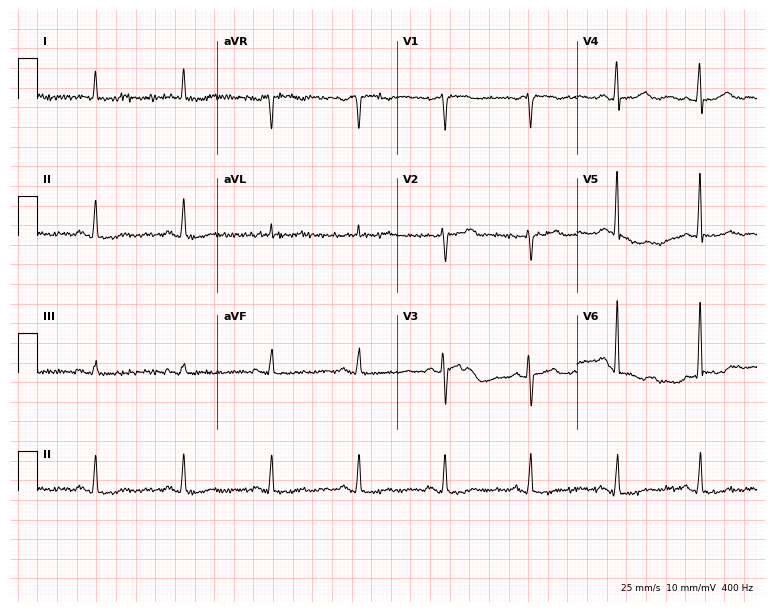
Standard 12-lead ECG recorded from a female patient, 60 years old (7.3-second recording at 400 Hz). None of these six findings is recorded: first-degree AV block, right bundle branch block (RBBB), left bundle branch block (LBBB), sinus bradycardia, atrial fibrillation (AF), sinus tachycardia.